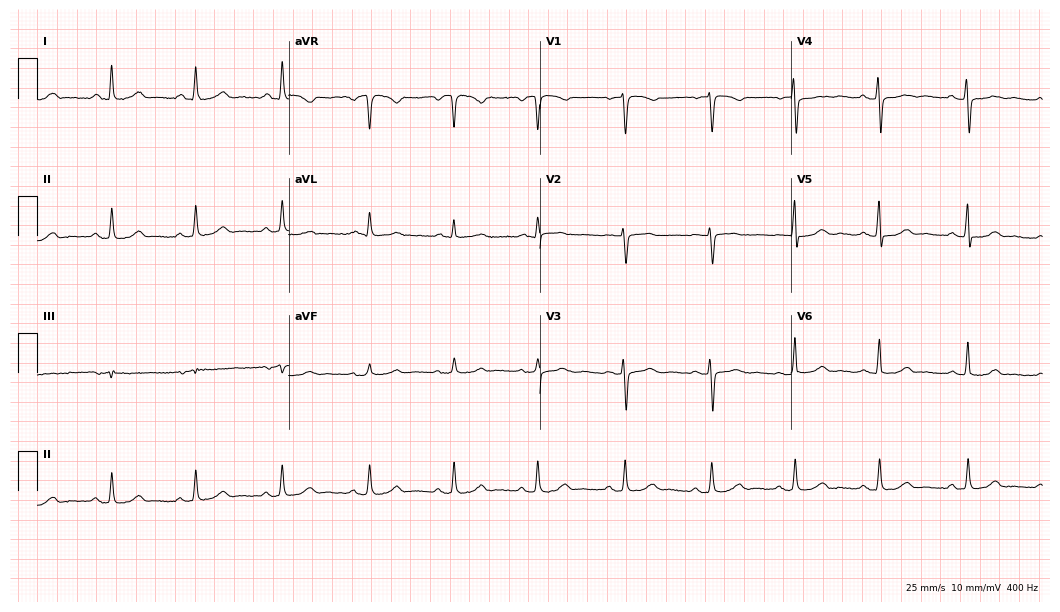
Resting 12-lead electrocardiogram (10.2-second recording at 400 Hz). Patient: a woman, 52 years old. None of these six findings is recorded: first-degree AV block, right bundle branch block, left bundle branch block, sinus bradycardia, atrial fibrillation, sinus tachycardia.